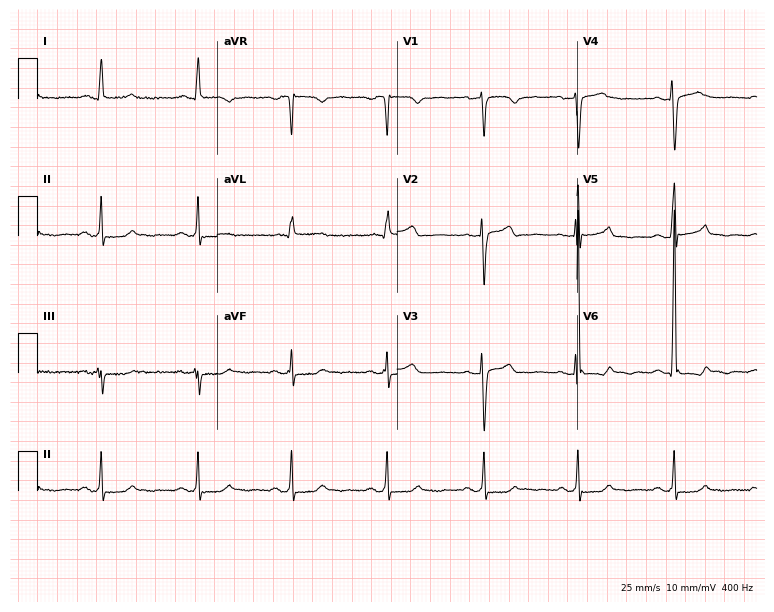
Electrocardiogram (7.3-second recording at 400 Hz), a female, 51 years old. Of the six screened findings (first-degree AV block, right bundle branch block, left bundle branch block, sinus bradycardia, atrial fibrillation, sinus tachycardia), none is recorded.